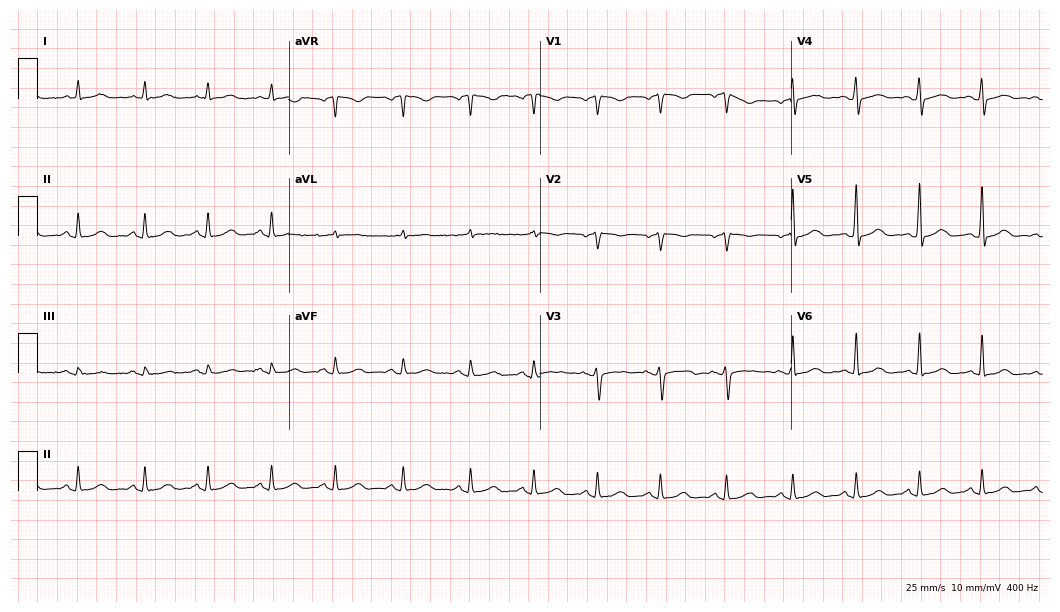
12-lead ECG from a female, 50 years old. No first-degree AV block, right bundle branch block (RBBB), left bundle branch block (LBBB), sinus bradycardia, atrial fibrillation (AF) or sinus tachycardia recorded for this tracing. Other findings, if any, are not listed.